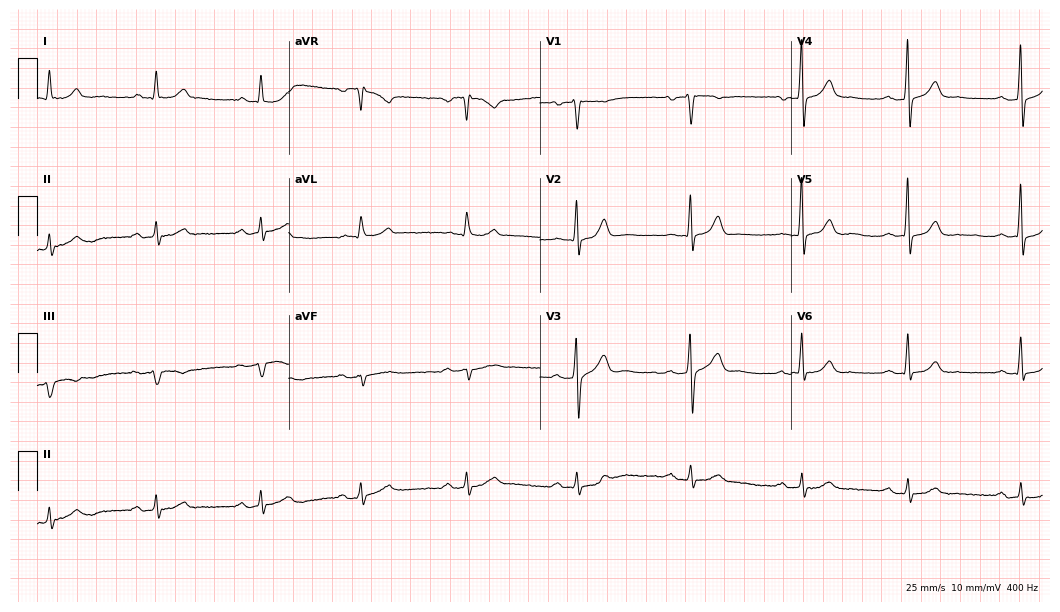
ECG (10.2-second recording at 400 Hz) — a man, 64 years old. Findings include first-degree AV block.